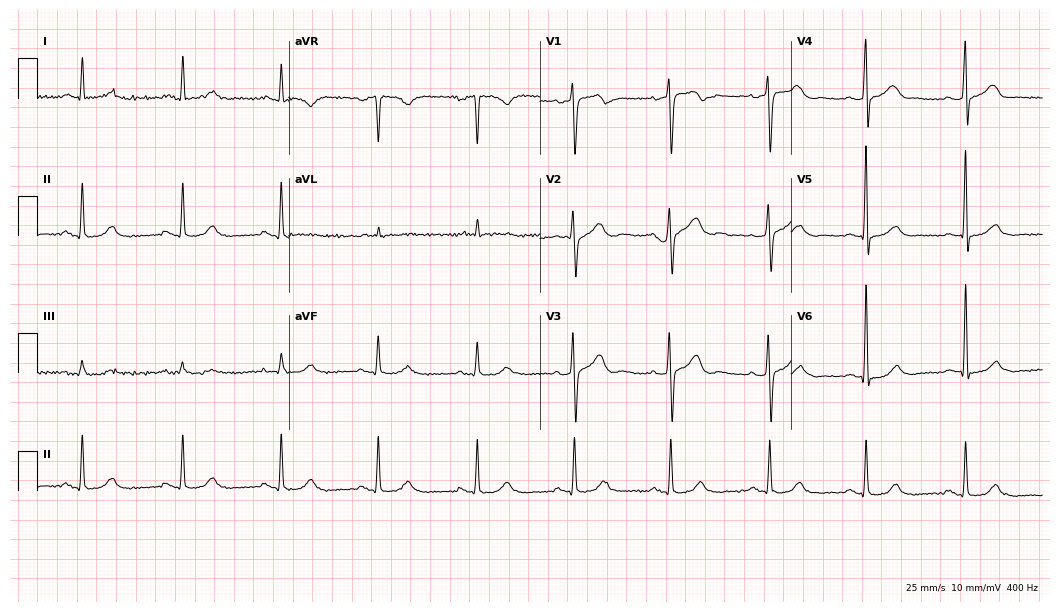
12-lead ECG from a male, 74 years old (10.2-second recording at 400 Hz). Recorded interpretation: within normal limits.